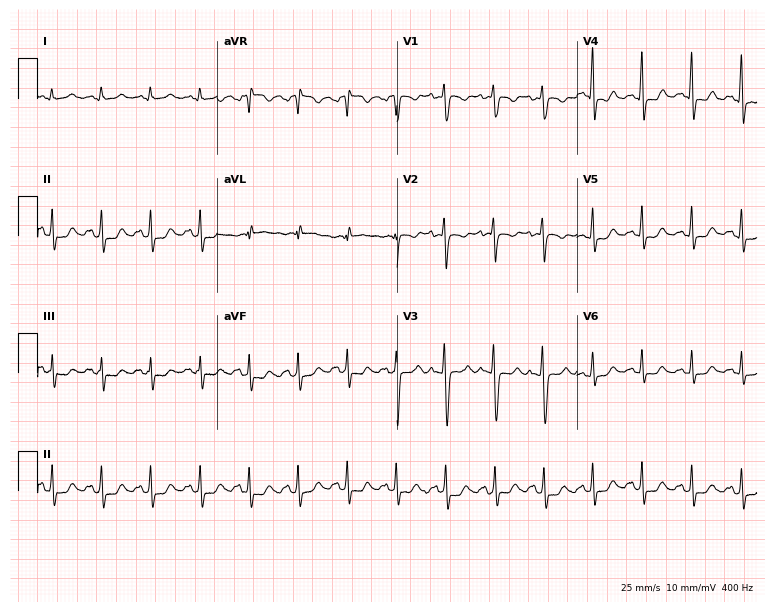
12-lead ECG from a 33-year-old female patient (7.3-second recording at 400 Hz). Shows sinus tachycardia (a sinus rate of 100 beats per minute or more).